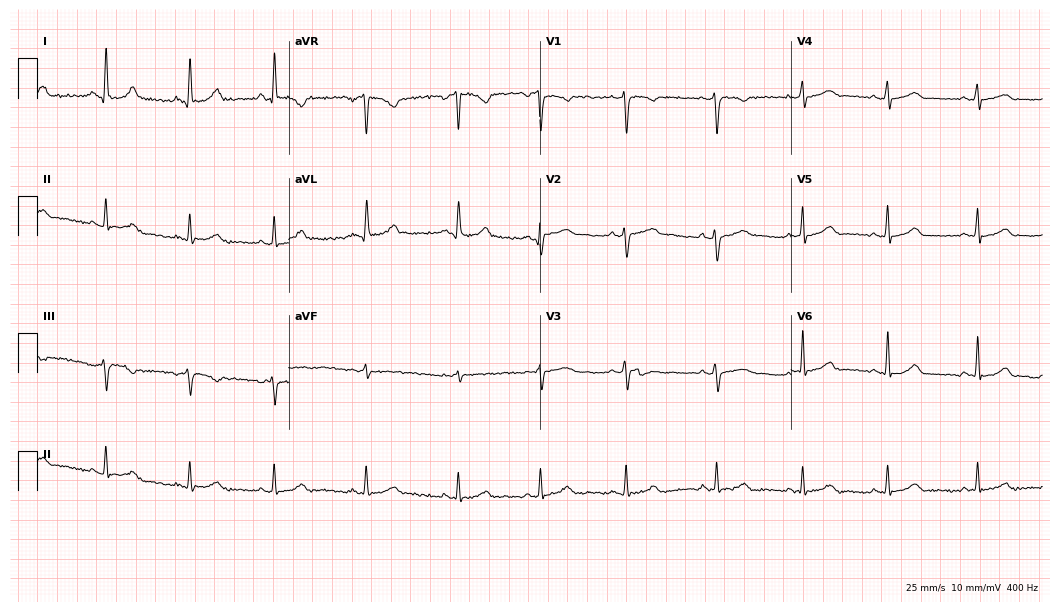
Resting 12-lead electrocardiogram (10.2-second recording at 400 Hz). Patient: a 29-year-old female. Read as a normal ECG.